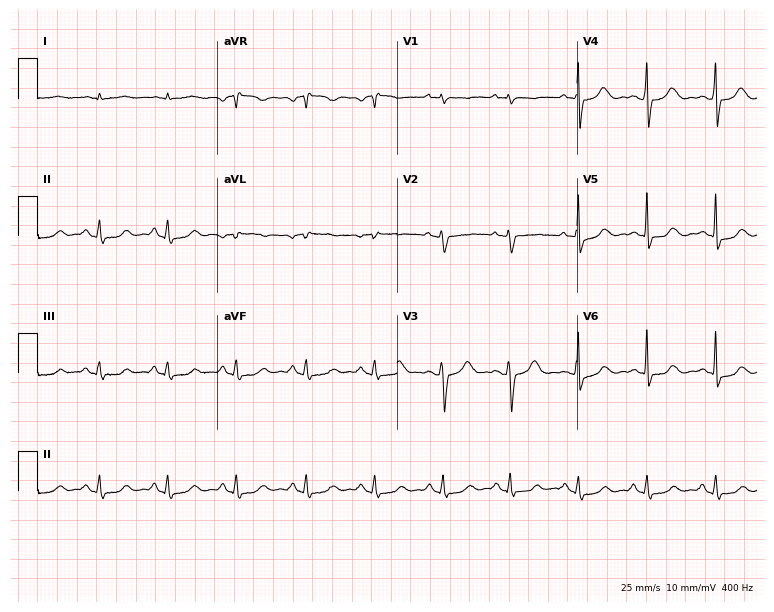
Electrocardiogram, a 38-year-old female. Of the six screened findings (first-degree AV block, right bundle branch block, left bundle branch block, sinus bradycardia, atrial fibrillation, sinus tachycardia), none is recorded.